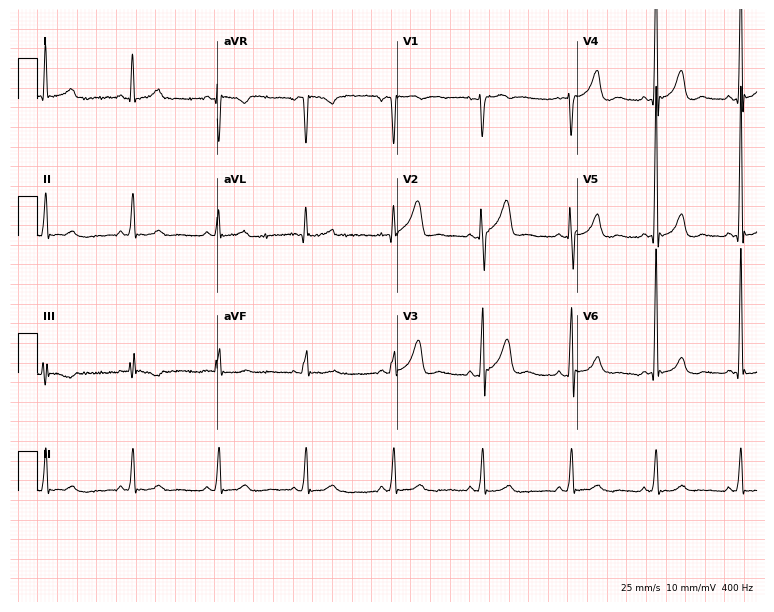
Standard 12-lead ECG recorded from a male patient, 36 years old. Read as a normal ECG.